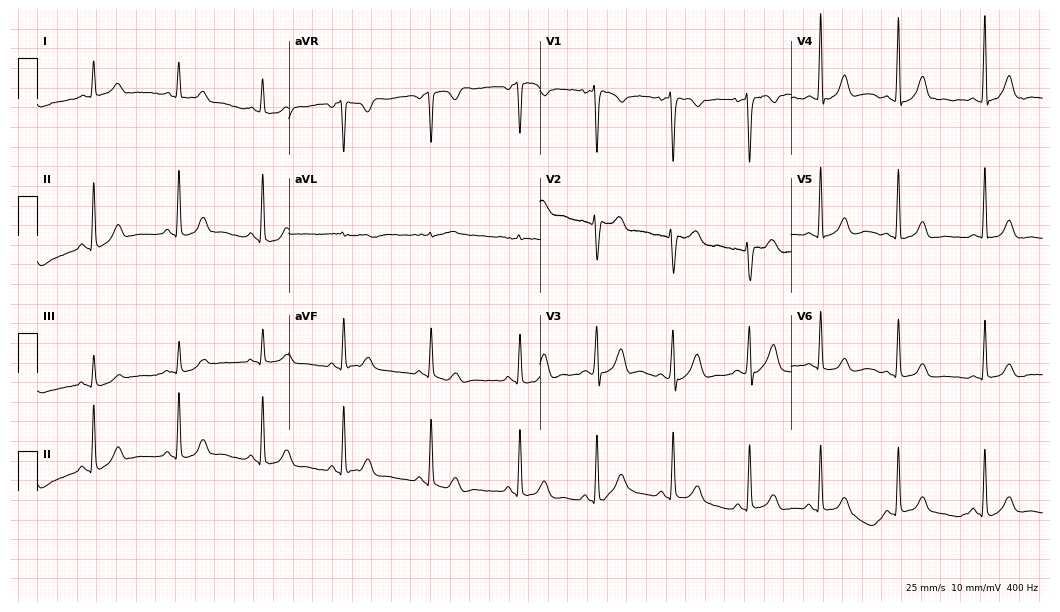
12-lead ECG from a female, 30 years old. Recorded interpretation: within normal limits.